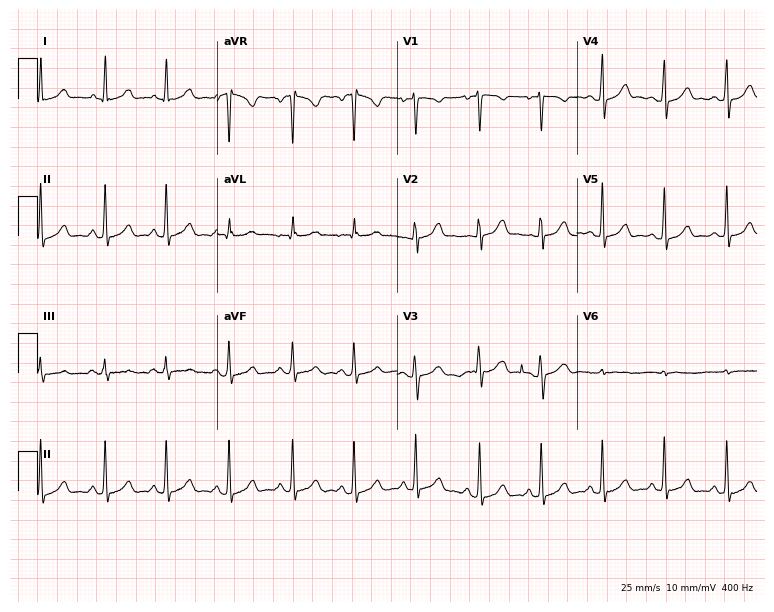
Electrocardiogram (7.3-second recording at 400 Hz), a female, 17 years old. Overall reading on record: normal ECG.